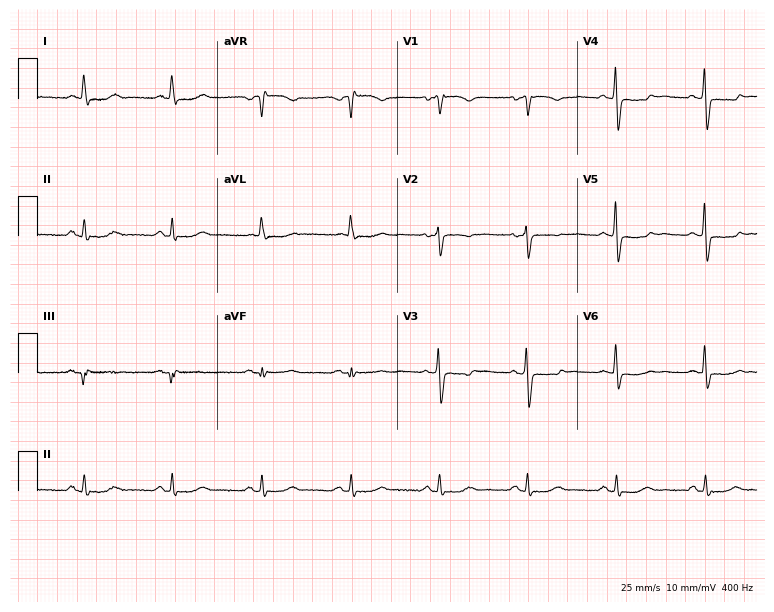
Standard 12-lead ECG recorded from a female patient, 69 years old (7.3-second recording at 400 Hz). None of these six findings is recorded: first-degree AV block, right bundle branch block, left bundle branch block, sinus bradycardia, atrial fibrillation, sinus tachycardia. Only these six findings were labelled.